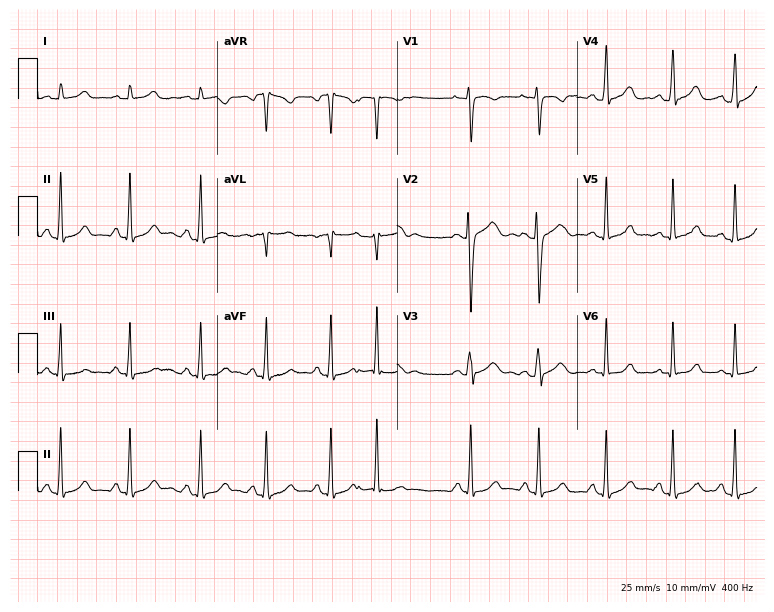
12-lead ECG from a female, 19 years old (7.3-second recording at 400 Hz). No first-degree AV block, right bundle branch block, left bundle branch block, sinus bradycardia, atrial fibrillation or sinus tachycardia recorded for this tracing. Findings outside these six are not listed.